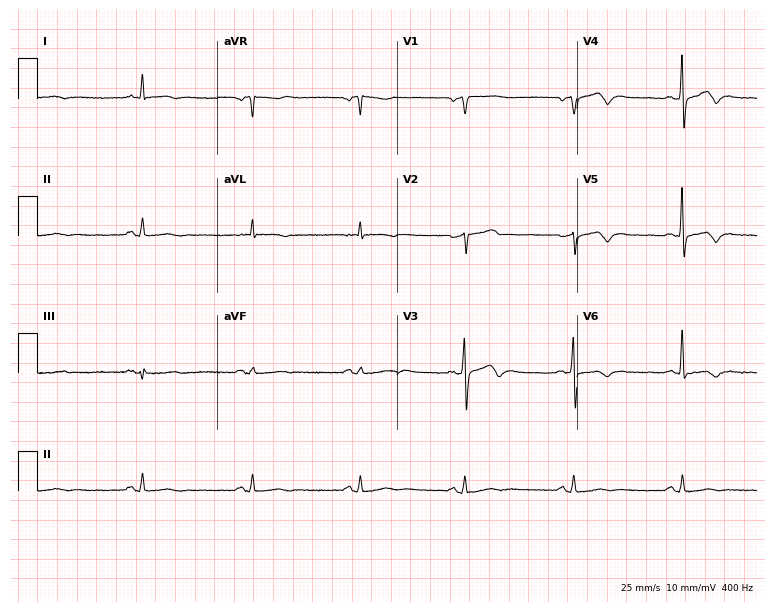
Standard 12-lead ECG recorded from a male patient, 74 years old. None of these six findings is recorded: first-degree AV block, right bundle branch block, left bundle branch block, sinus bradycardia, atrial fibrillation, sinus tachycardia.